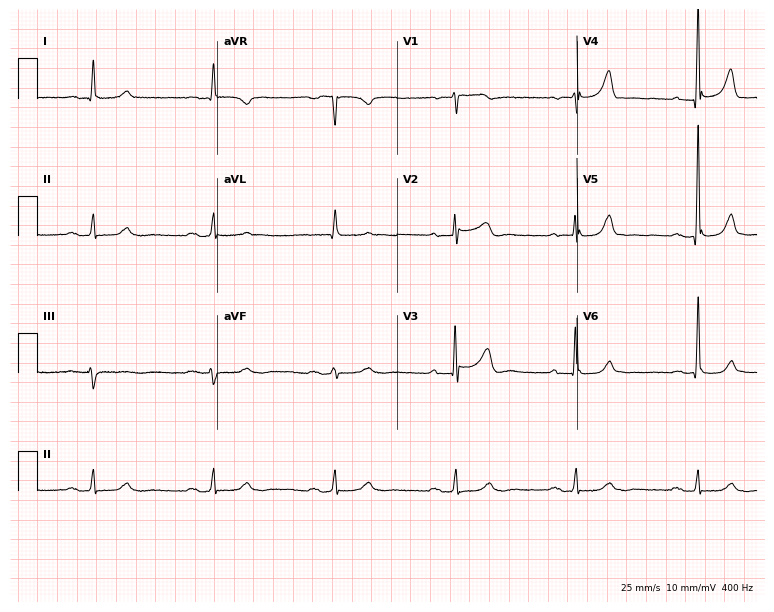
Standard 12-lead ECG recorded from an 80-year-old male (7.3-second recording at 400 Hz). The tracing shows first-degree AV block, right bundle branch block, sinus bradycardia (a sinus rate of 50 beats per minute or less).